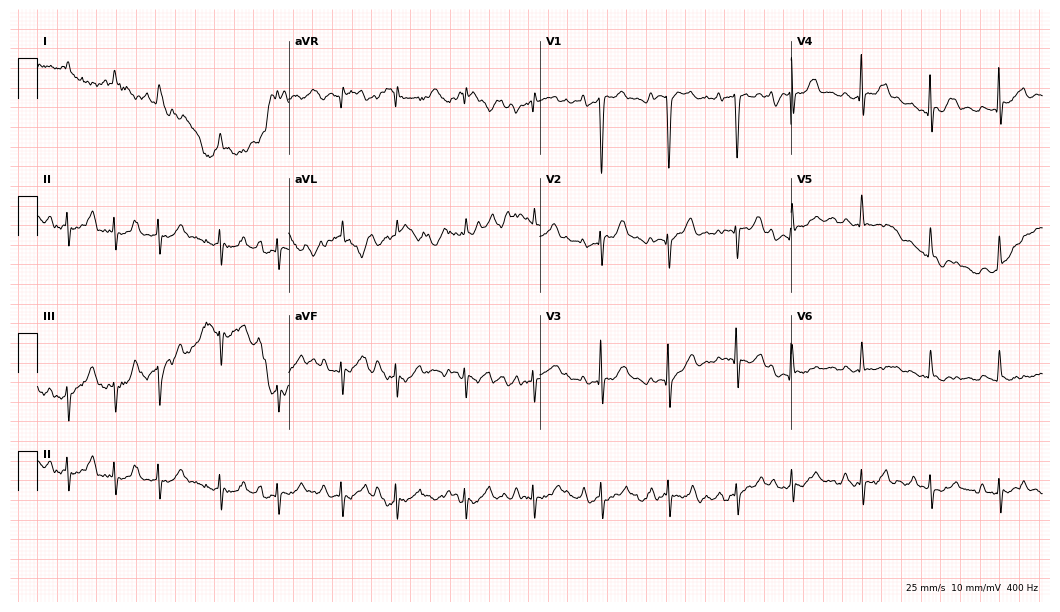
Resting 12-lead electrocardiogram. Patient: an 85-year-old male. The tracing shows atrial fibrillation (AF).